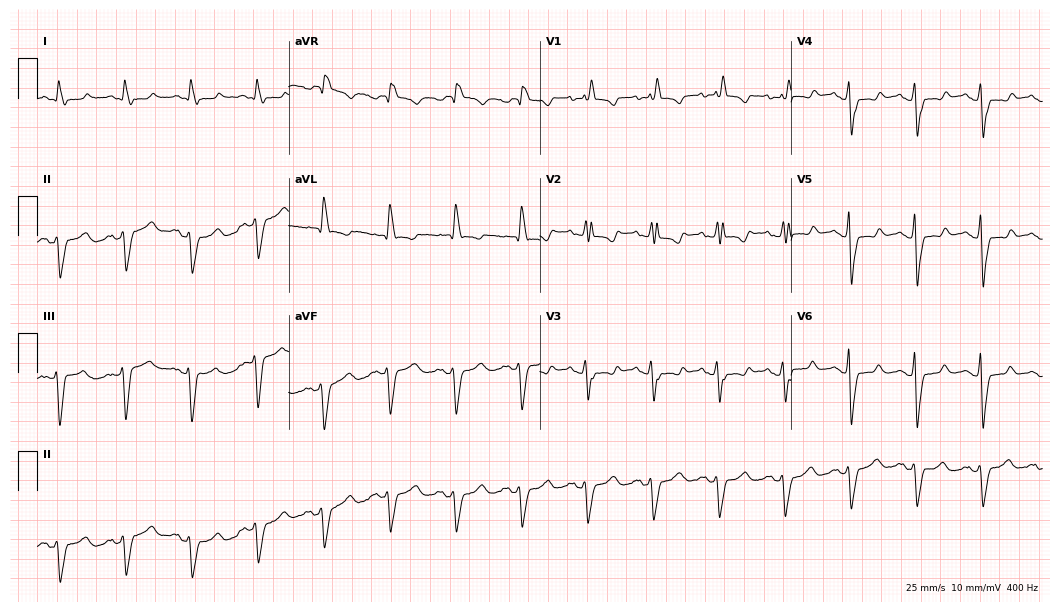
12-lead ECG from a female patient, 66 years old. Findings include right bundle branch block.